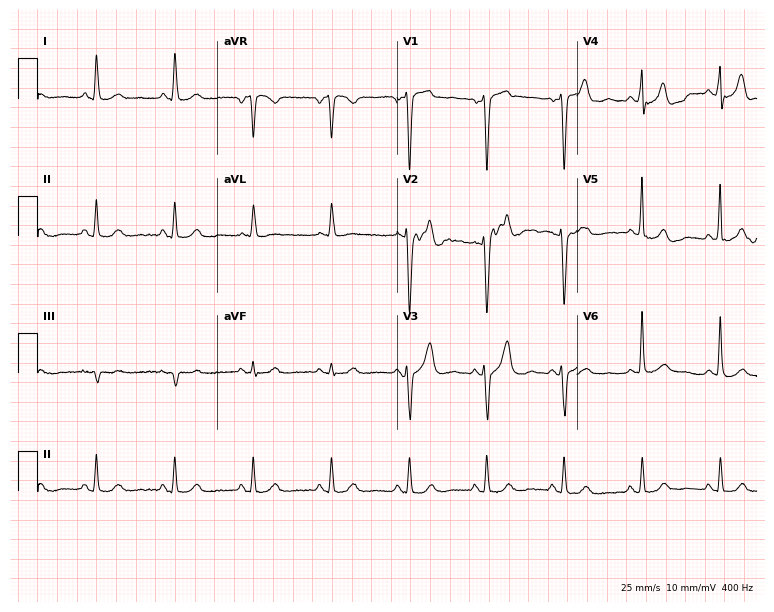
12-lead ECG from a man, 64 years old (7.3-second recording at 400 Hz). Recorded interpretation: within normal limits.